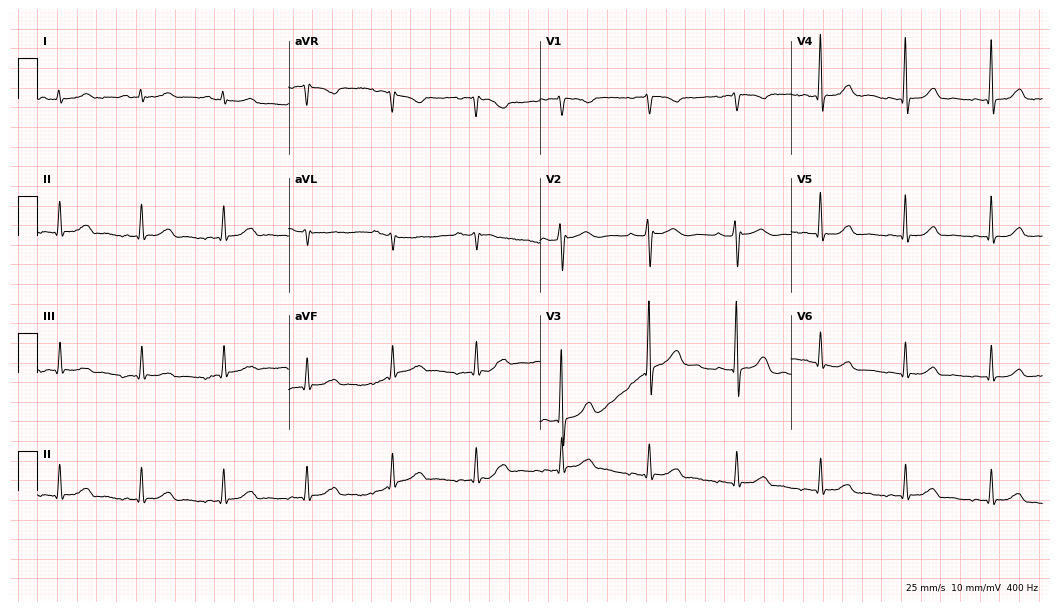
ECG (10.2-second recording at 400 Hz) — a woman, 53 years old. Labelled as a normal ECG.